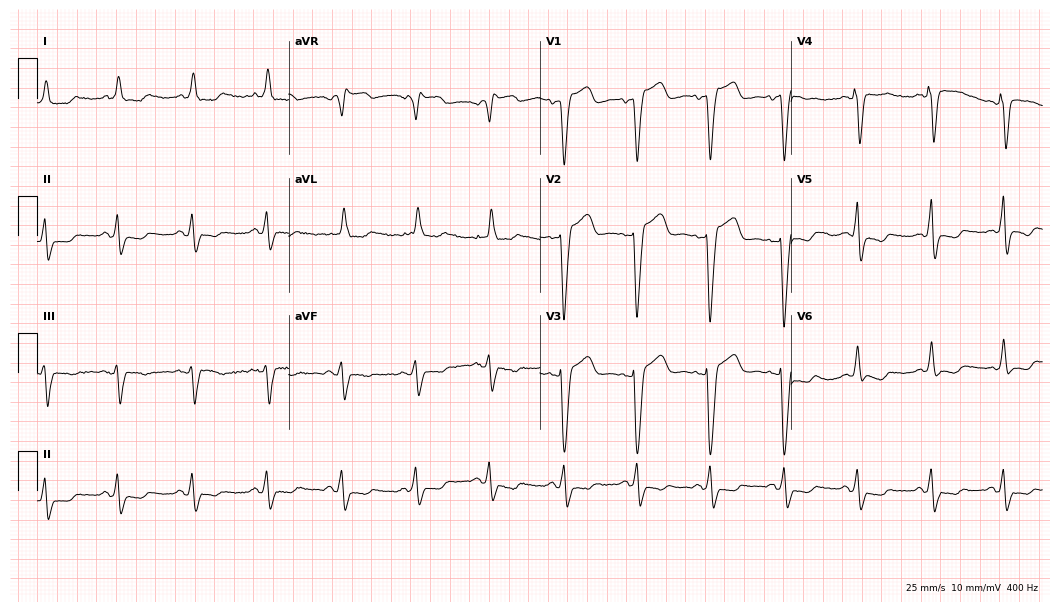
ECG — a woman, 83 years old. Findings include left bundle branch block.